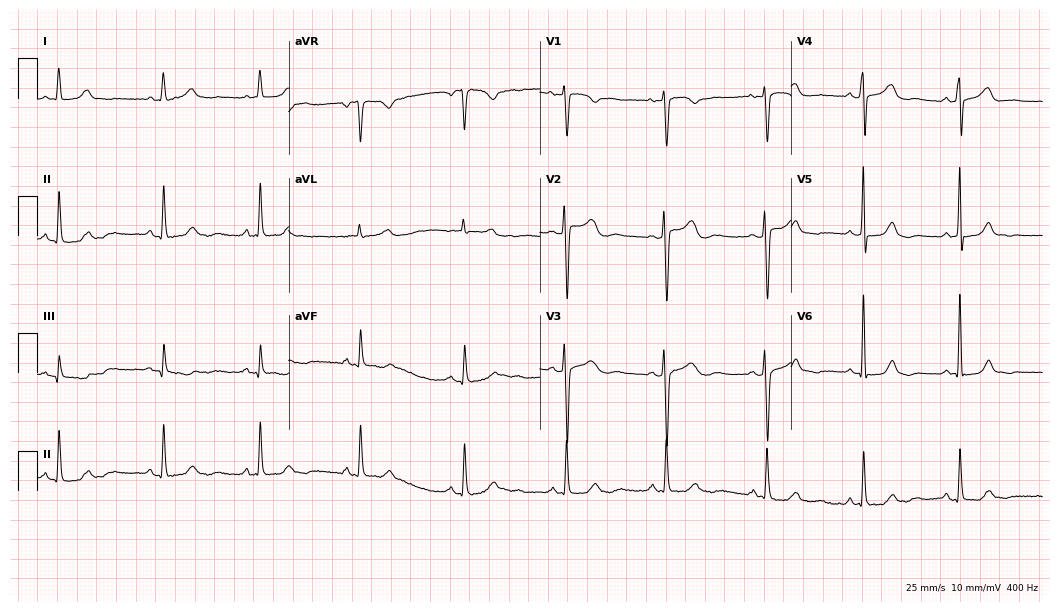
12-lead ECG (10.2-second recording at 400 Hz) from a 52-year-old woman. Screened for six findings — first-degree AV block, right bundle branch block (RBBB), left bundle branch block (LBBB), sinus bradycardia, atrial fibrillation (AF), sinus tachycardia — none is recorded. Other findings, if any, are not listed.